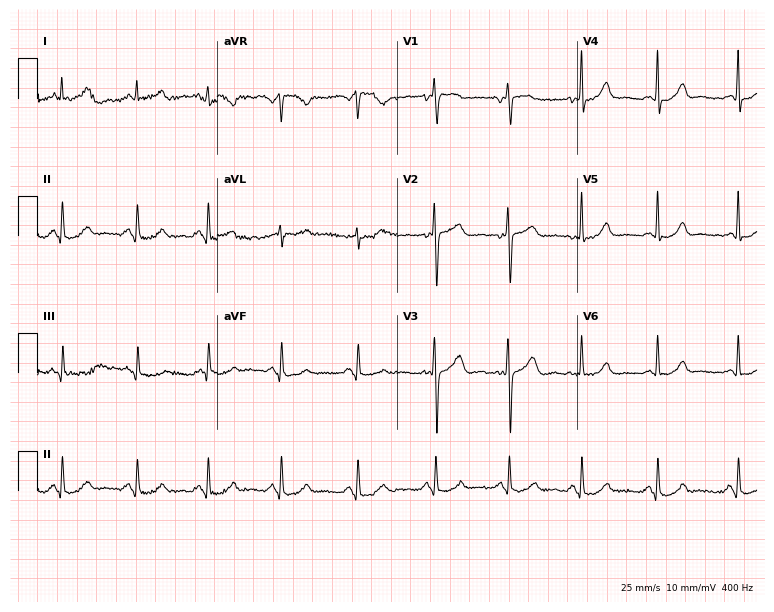
Resting 12-lead electrocardiogram. Patient: a 62-year-old female. Read as a normal ECG.